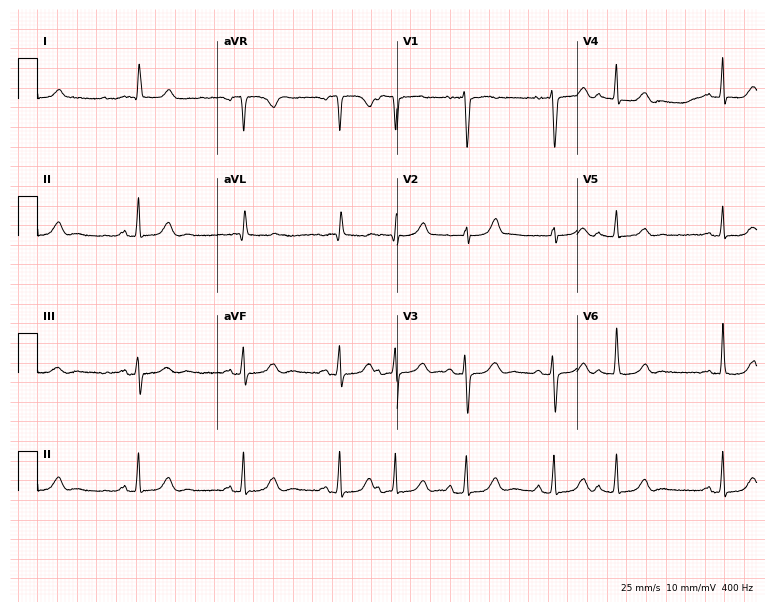
12-lead ECG (7.3-second recording at 400 Hz) from a female, 69 years old. Screened for six findings — first-degree AV block, right bundle branch block, left bundle branch block, sinus bradycardia, atrial fibrillation, sinus tachycardia — none is recorded. Findings outside these six are not listed.